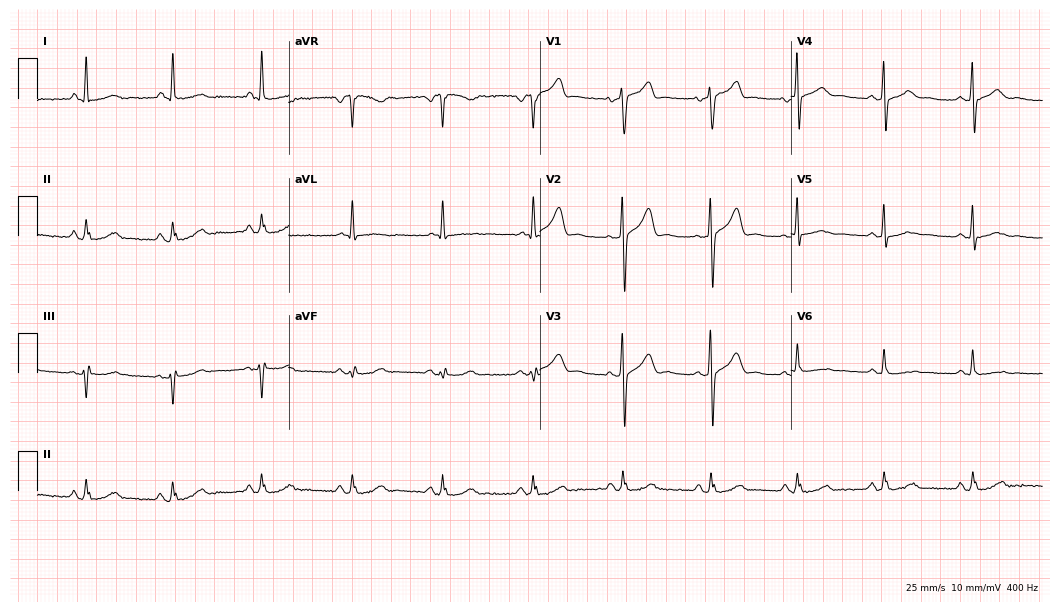
12-lead ECG (10.2-second recording at 400 Hz) from a man, 44 years old. Screened for six findings — first-degree AV block, right bundle branch block, left bundle branch block, sinus bradycardia, atrial fibrillation, sinus tachycardia — none is recorded.